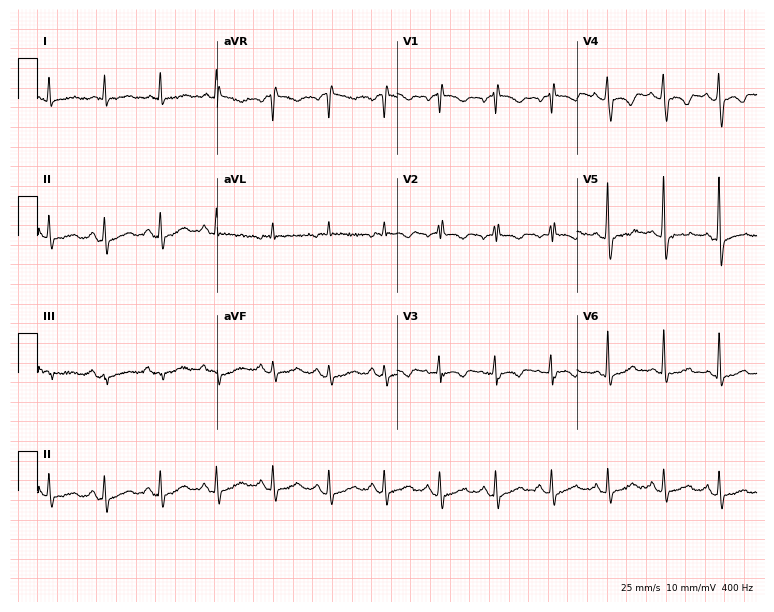
Resting 12-lead electrocardiogram (7.3-second recording at 400 Hz). Patient: an 80-year-old man. The tracing shows sinus tachycardia (a sinus rate of 100 beats per minute or more).